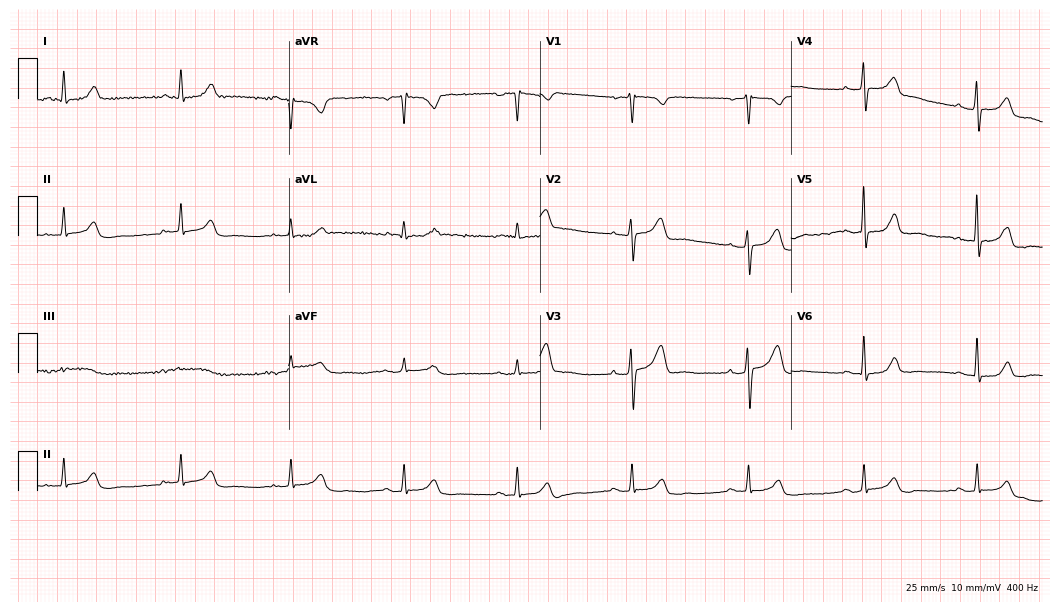
ECG — a 76-year-old female patient. Labelled as a normal ECG.